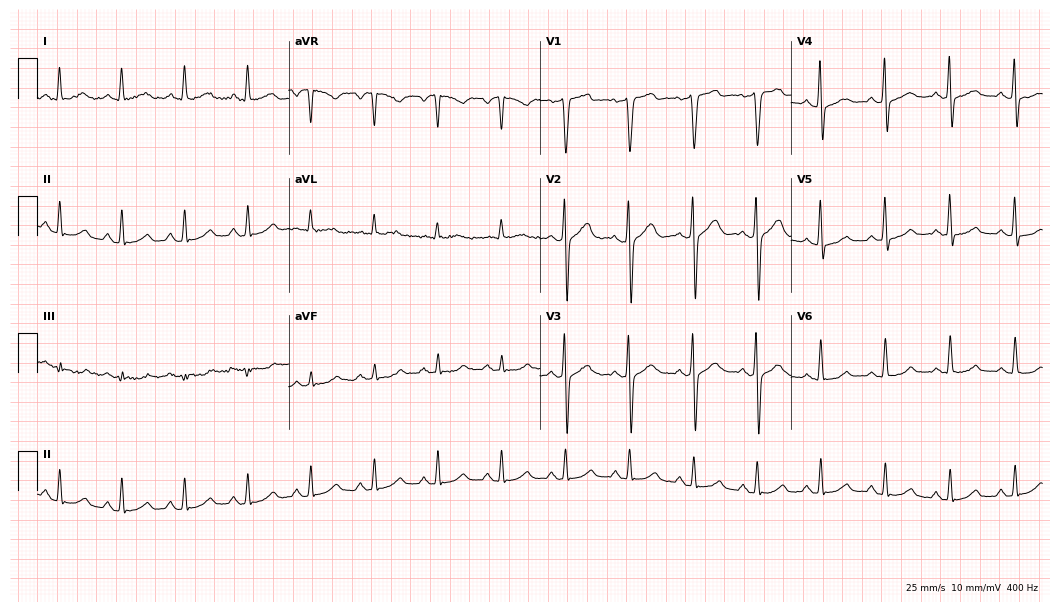
Standard 12-lead ECG recorded from a 52-year-old male (10.2-second recording at 400 Hz). Read as a normal ECG.